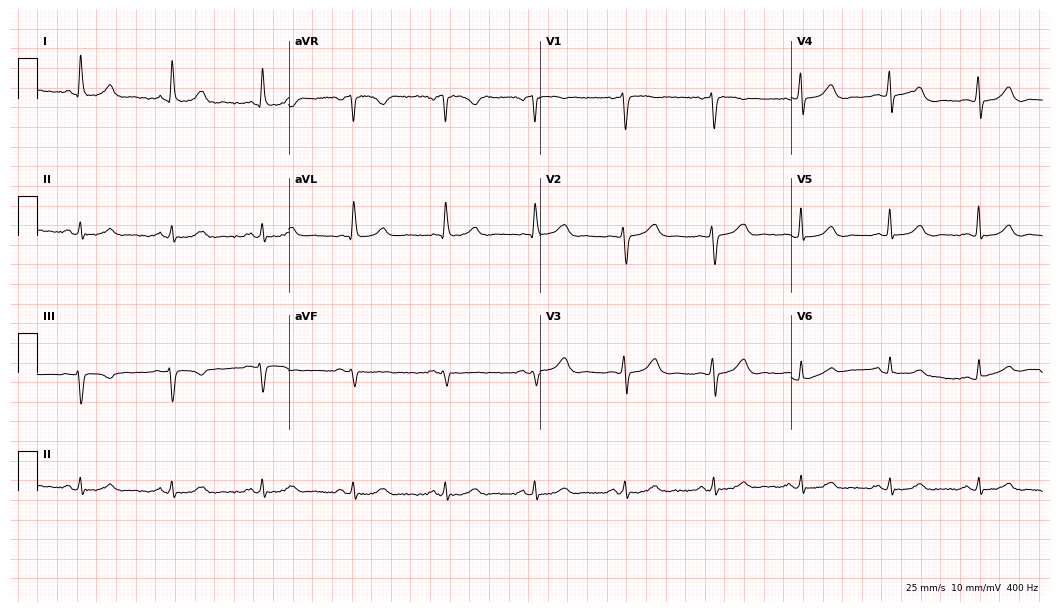
Standard 12-lead ECG recorded from a 76-year-old female (10.2-second recording at 400 Hz). None of these six findings is recorded: first-degree AV block, right bundle branch block, left bundle branch block, sinus bradycardia, atrial fibrillation, sinus tachycardia. Other findings, if any, are not listed.